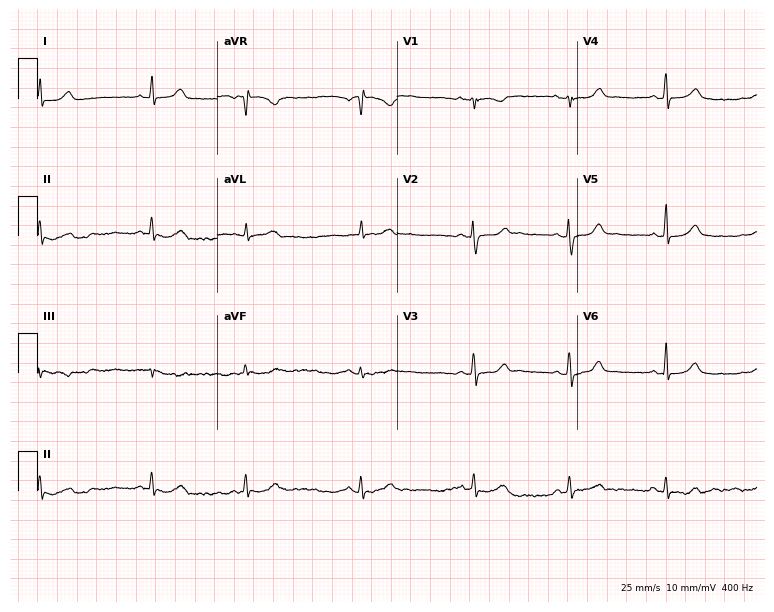
Standard 12-lead ECG recorded from a woman, 36 years old. None of these six findings is recorded: first-degree AV block, right bundle branch block (RBBB), left bundle branch block (LBBB), sinus bradycardia, atrial fibrillation (AF), sinus tachycardia.